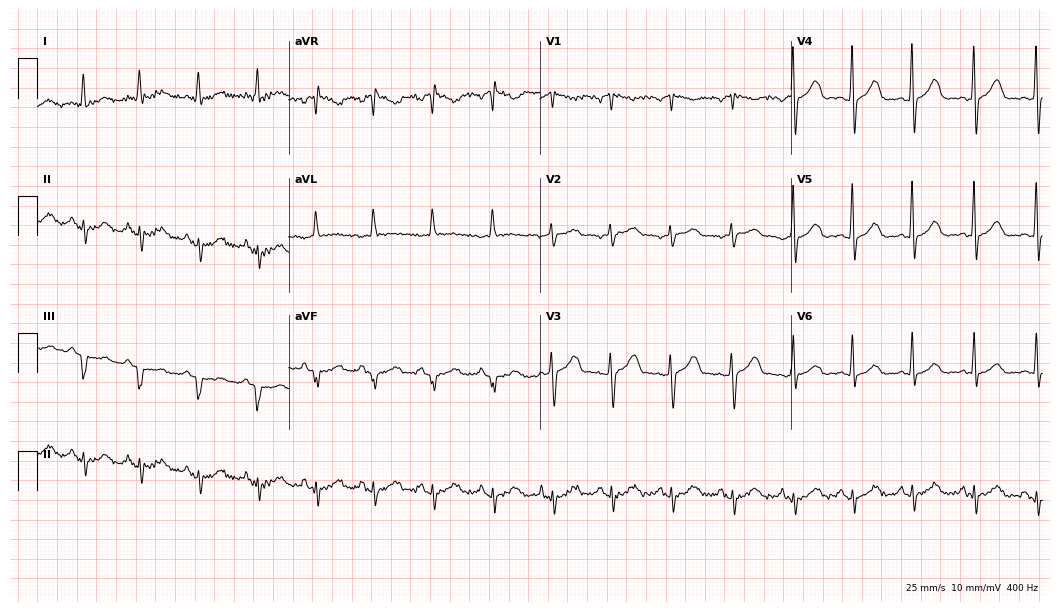
12-lead ECG from a female, 70 years old (10.2-second recording at 400 Hz). No first-degree AV block, right bundle branch block, left bundle branch block, sinus bradycardia, atrial fibrillation or sinus tachycardia recorded for this tracing. Other findings, if any, are not listed.